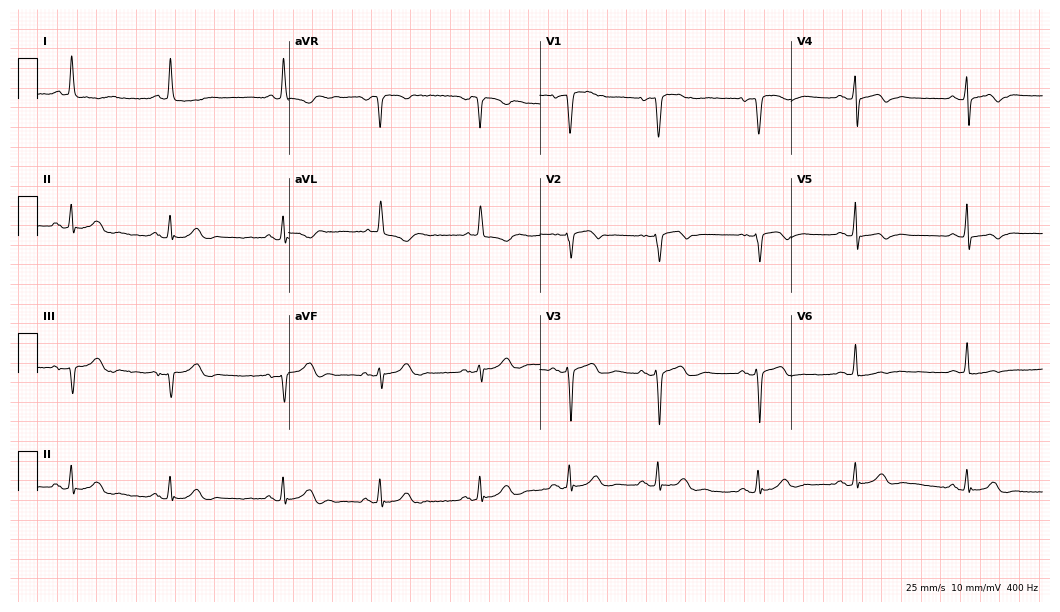
Electrocardiogram (10.2-second recording at 400 Hz), a 69-year-old female patient. Of the six screened findings (first-degree AV block, right bundle branch block, left bundle branch block, sinus bradycardia, atrial fibrillation, sinus tachycardia), none is recorded.